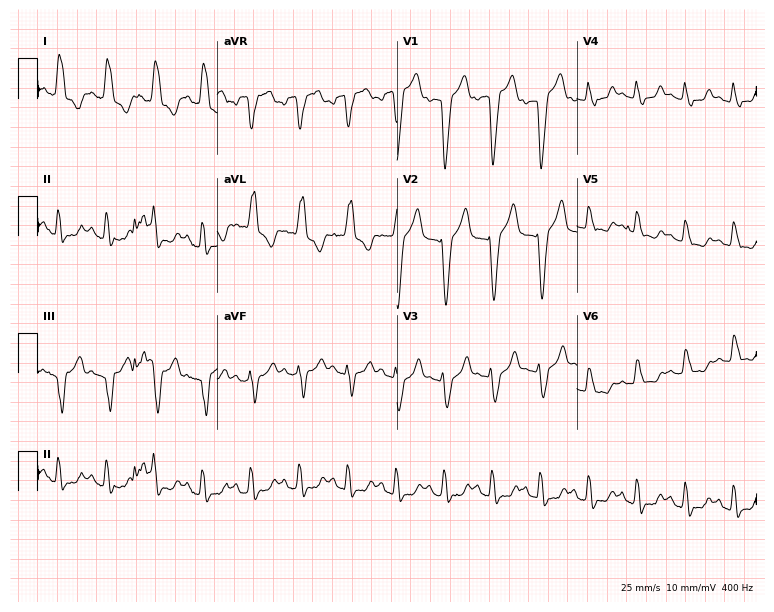
Standard 12-lead ECG recorded from a 75-year-old female patient (7.3-second recording at 400 Hz). None of these six findings is recorded: first-degree AV block, right bundle branch block, left bundle branch block, sinus bradycardia, atrial fibrillation, sinus tachycardia. Only these six findings were labelled.